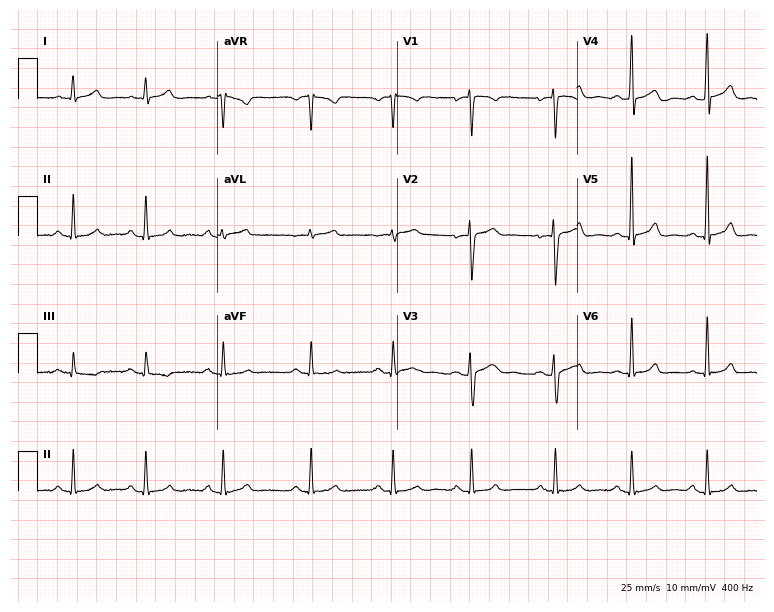
Electrocardiogram, a 31-year-old female. Of the six screened findings (first-degree AV block, right bundle branch block, left bundle branch block, sinus bradycardia, atrial fibrillation, sinus tachycardia), none is recorded.